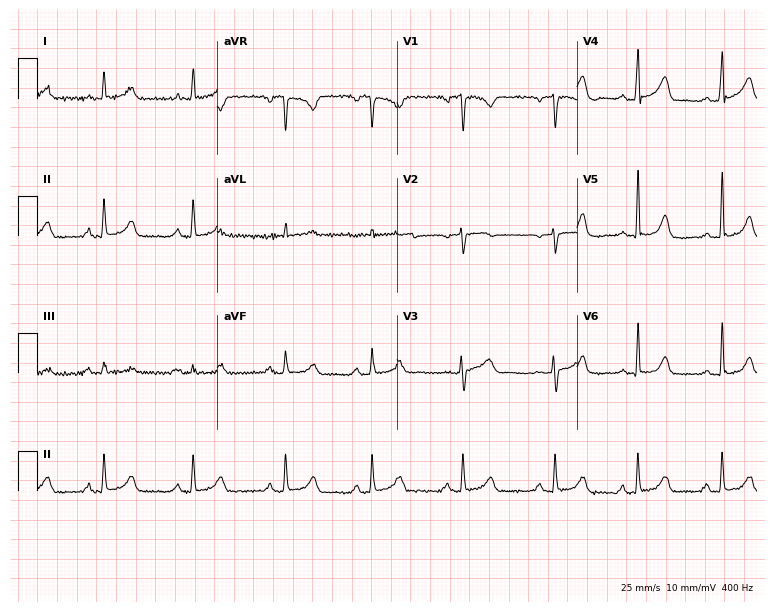
ECG (7.3-second recording at 400 Hz) — a woman, 52 years old. Labelled as a normal ECG.